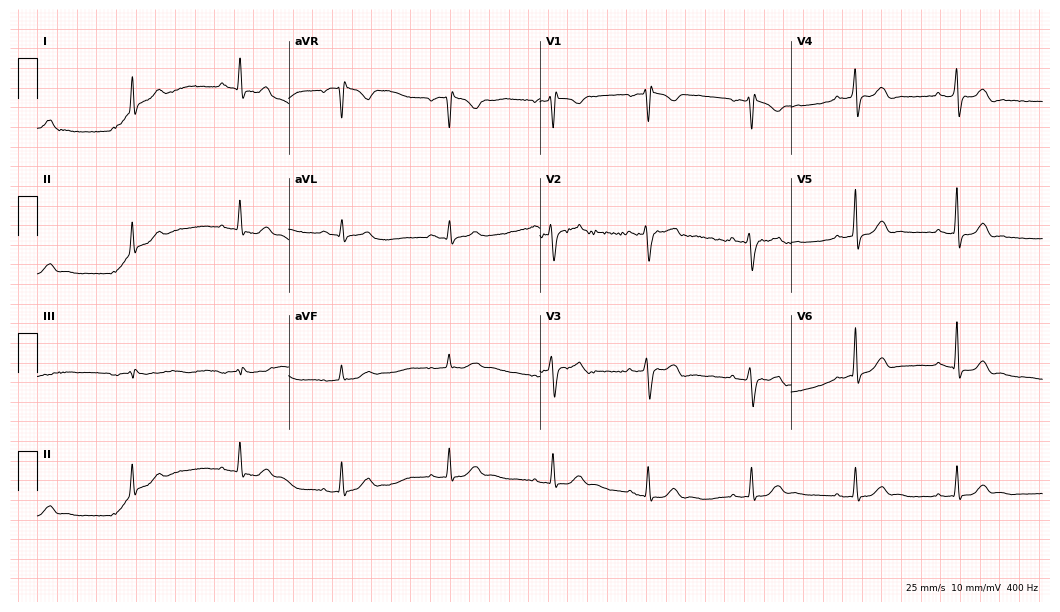
Resting 12-lead electrocardiogram. Patient: a female, 26 years old. None of these six findings is recorded: first-degree AV block, right bundle branch block, left bundle branch block, sinus bradycardia, atrial fibrillation, sinus tachycardia.